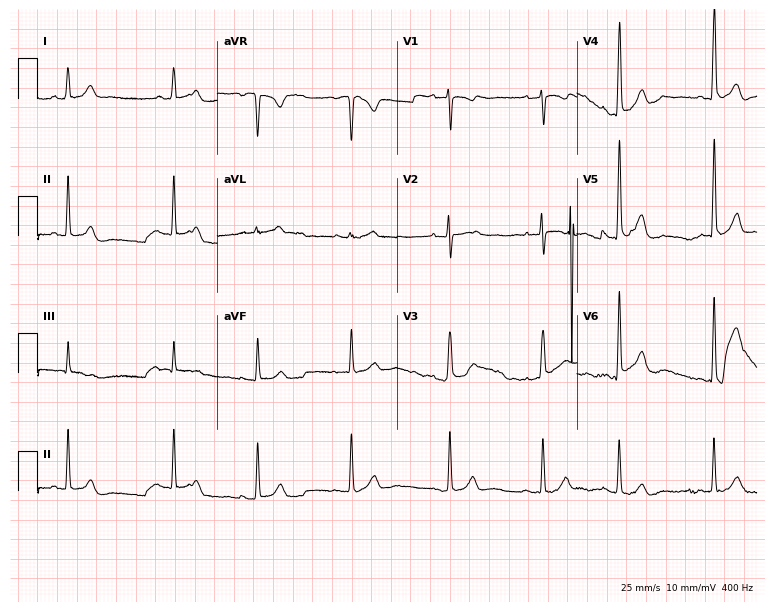
12-lead ECG (7.3-second recording at 400 Hz) from a 17-year-old female patient. Screened for six findings — first-degree AV block, right bundle branch block, left bundle branch block, sinus bradycardia, atrial fibrillation, sinus tachycardia — none is recorded.